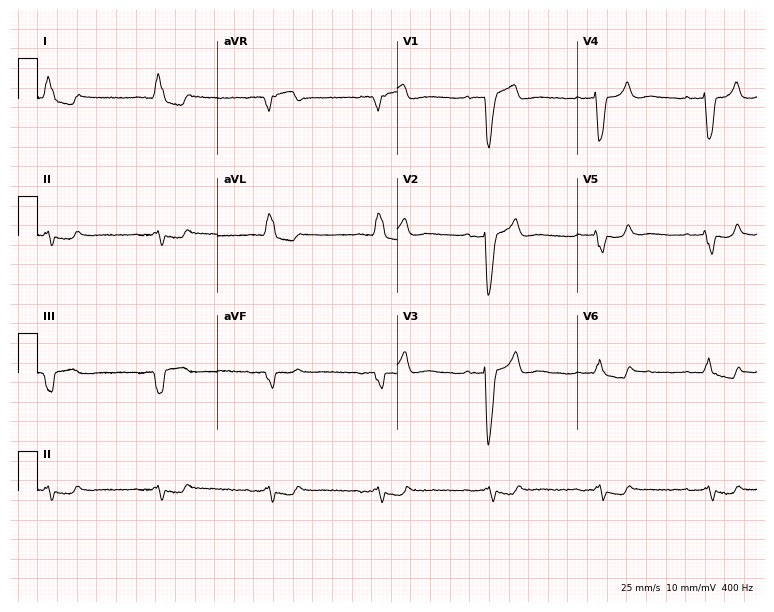
Resting 12-lead electrocardiogram. Patient: a 69-year-old female. The tracing shows left bundle branch block (LBBB).